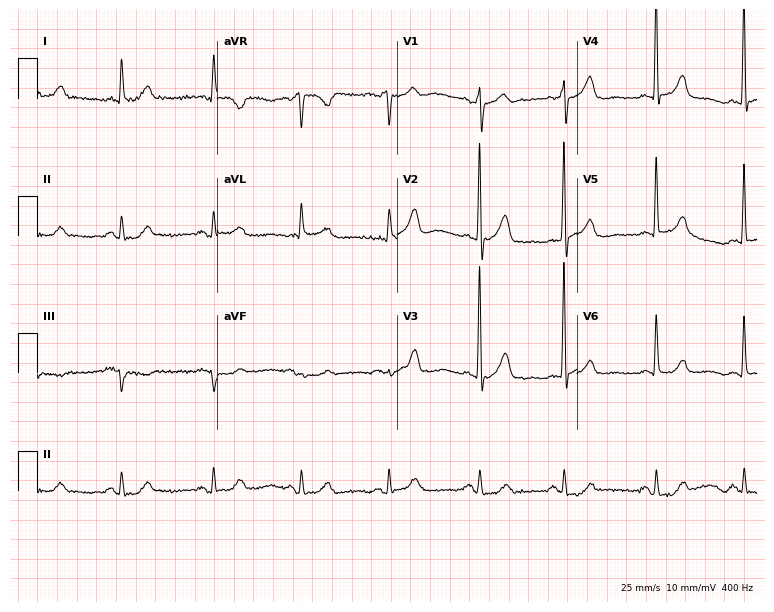
12-lead ECG from a 74-year-old woman. No first-degree AV block, right bundle branch block (RBBB), left bundle branch block (LBBB), sinus bradycardia, atrial fibrillation (AF) or sinus tachycardia recorded for this tracing.